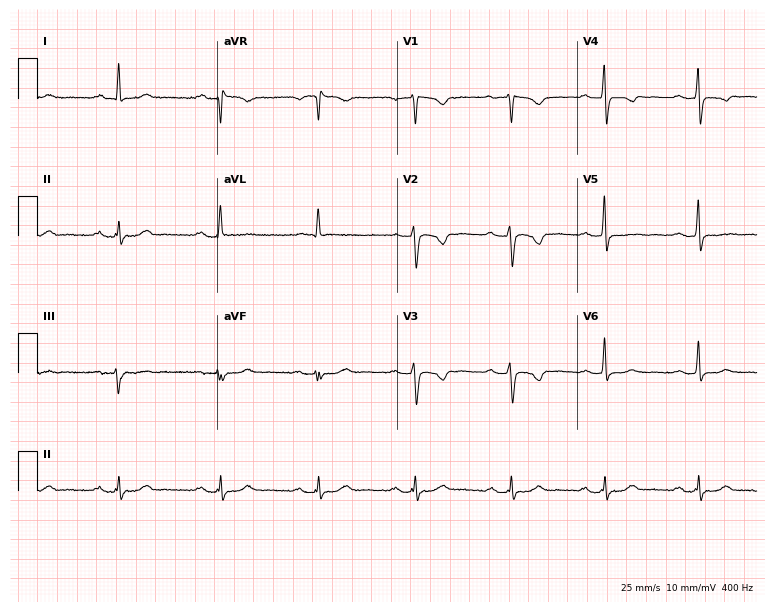
ECG (7.3-second recording at 400 Hz) — a woman, 56 years old. Screened for six findings — first-degree AV block, right bundle branch block, left bundle branch block, sinus bradycardia, atrial fibrillation, sinus tachycardia — none is recorded. Only these six findings were labelled.